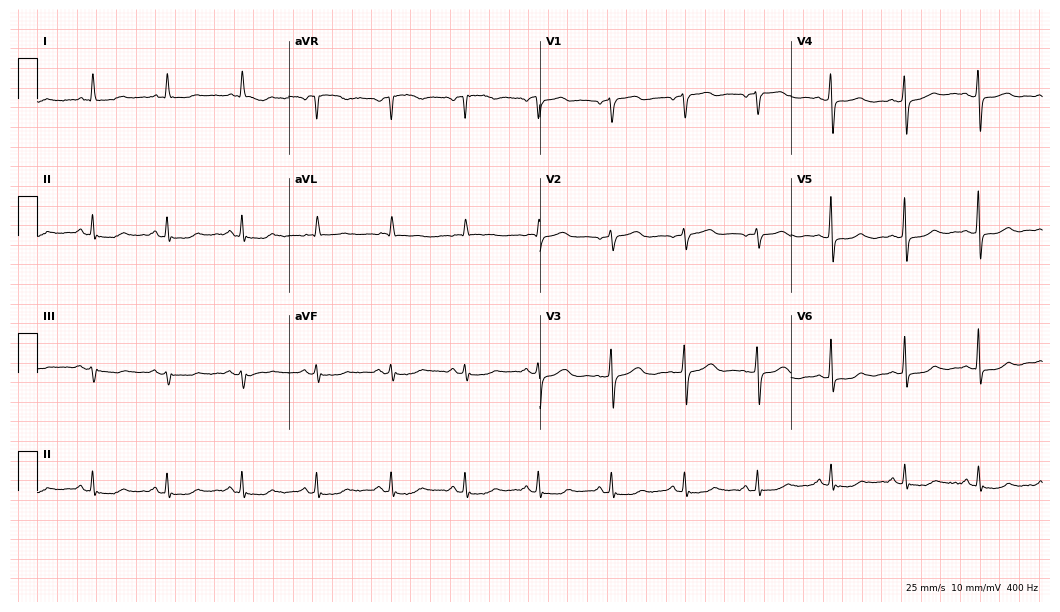
ECG (10.2-second recording at 400 Hz) — a 56-year-old woman. Screened for six findings — first-degree AV block, right bundle branch block (RBBB), left bundle branch block (LBBB), sinus bradycardia, atrial fibrillation (AF), sinus tachycardia — none is recorded.